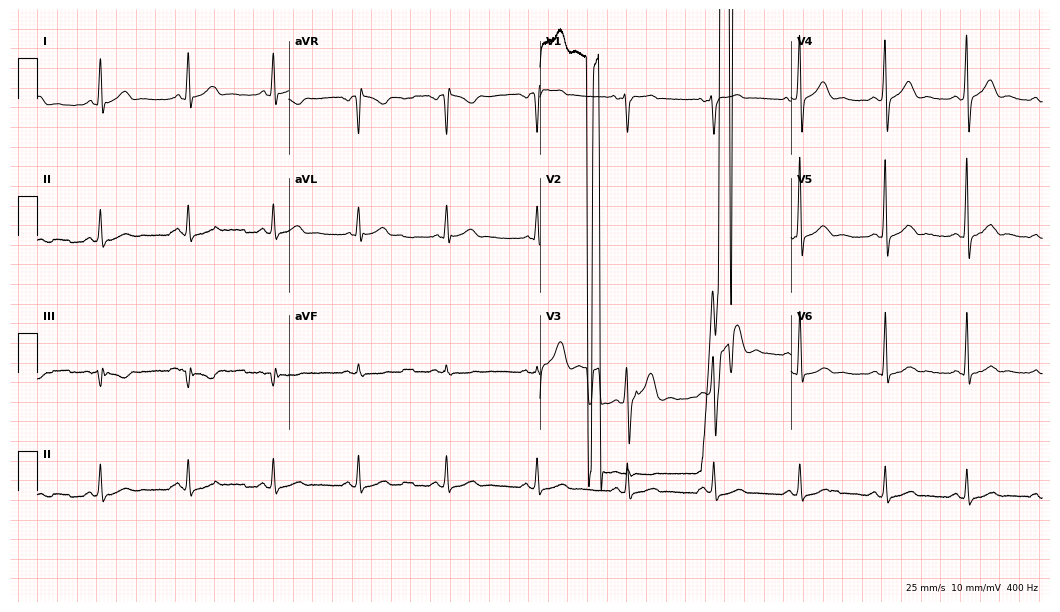
Electrocardiogram, a 33-year-old male patient. Of the six screened findings (first-degree AV block, right bundle branch block, left bundle branch block, sinus bradycardia, atrial fibrillation, sinus tachycardia), none is recorded. Only these six findings were labelled.